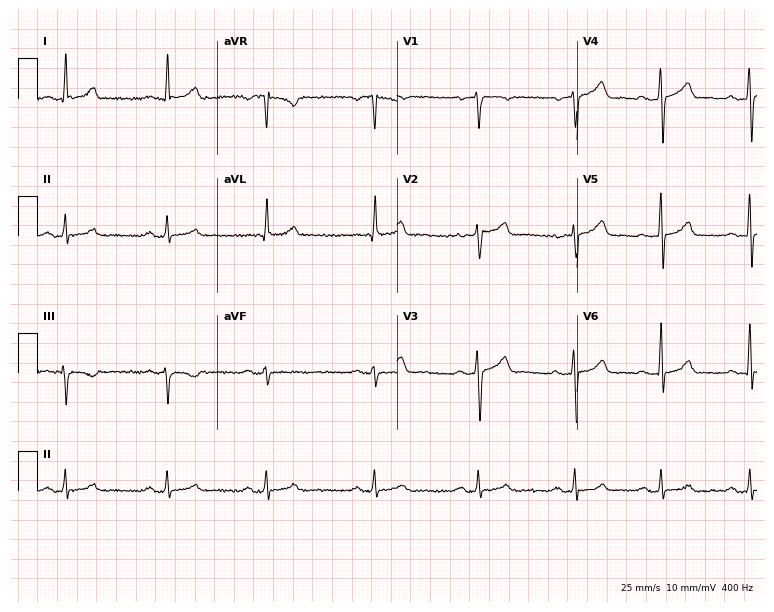
Resting 12-lead electrocardiogram (7.3-second recording at 400 Hz). Patient: a man, 36 years old. None of these six findings is recorded: first-degree AV block, right bundle branch block, left bundle branch block, sinus bradycardia, atrial fibrillation, sinus tachycardia.